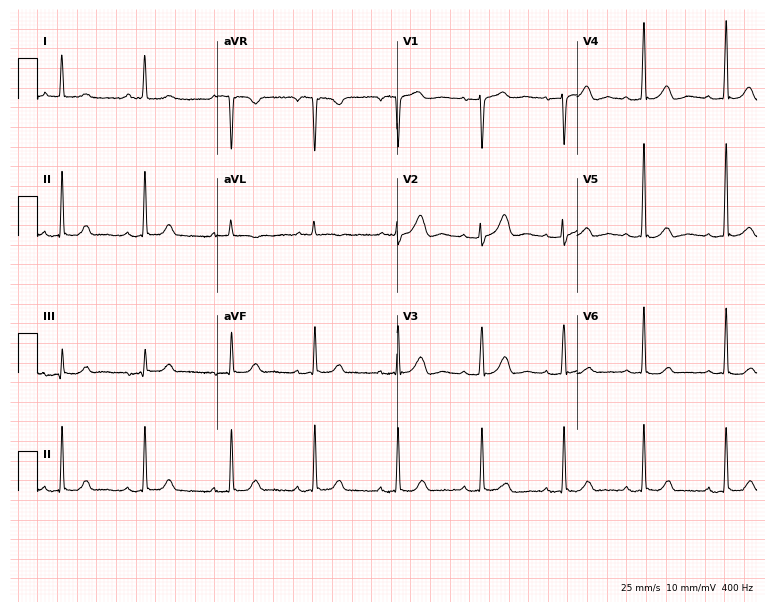
12-lead ECG from a woman, 69 years old (7.3-second recording at 400 Hz). Recorded interpretation: within normal limits.